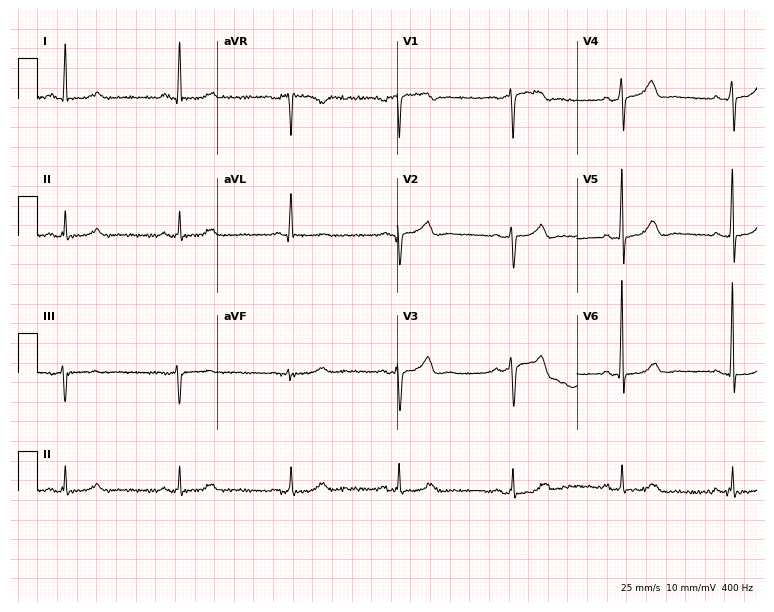
ECG — a female patient, 53 years old. Labelled as a normal ECG.